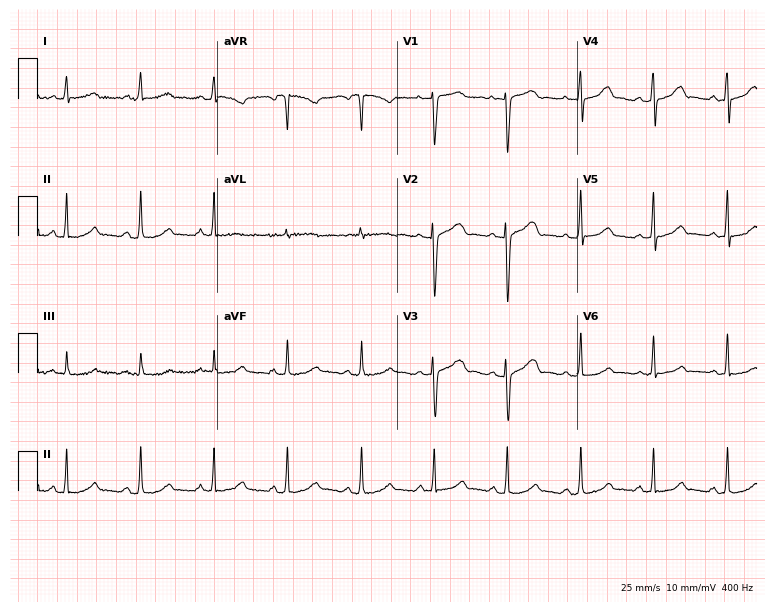
Standard 12-lead ECG recorded from a 42-year-old female patient. Read as a normal ECG.